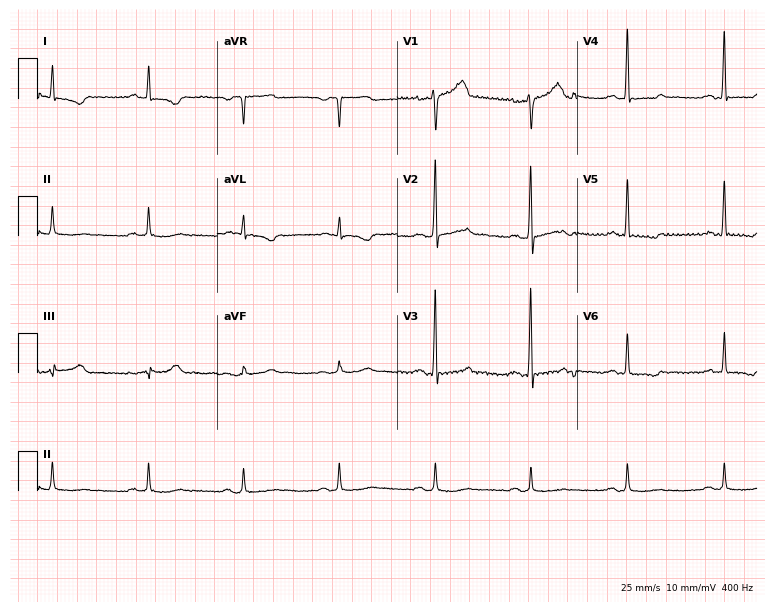
Electrocardiogram (7.3-second recording at 400 Hz), a 65-year-old male patient. Of the six screened findings (first-degree AV block, right bundle branch block (RBBB), left bundle branch block (LBBB), sinus bradycardia, atrial fibrillation (AF), sinus tachycardia), none is recorded.